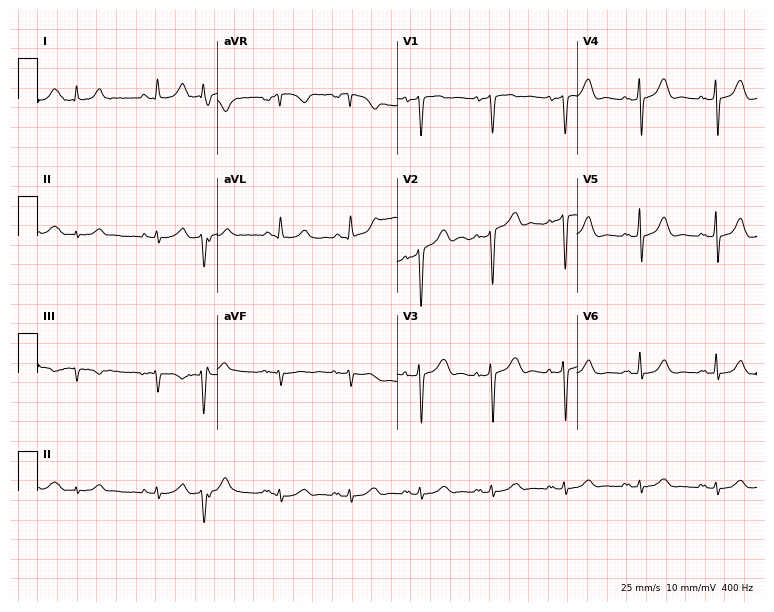
12-lead ECG from a male, 67 years old. Screened for six findings — first-degree AV block, right bundle branch block, left bundle branch block, sinus bradycardia, atrial fibrillation, sinus tachycardia — none is recorded. Other findings, if any, are not listed.